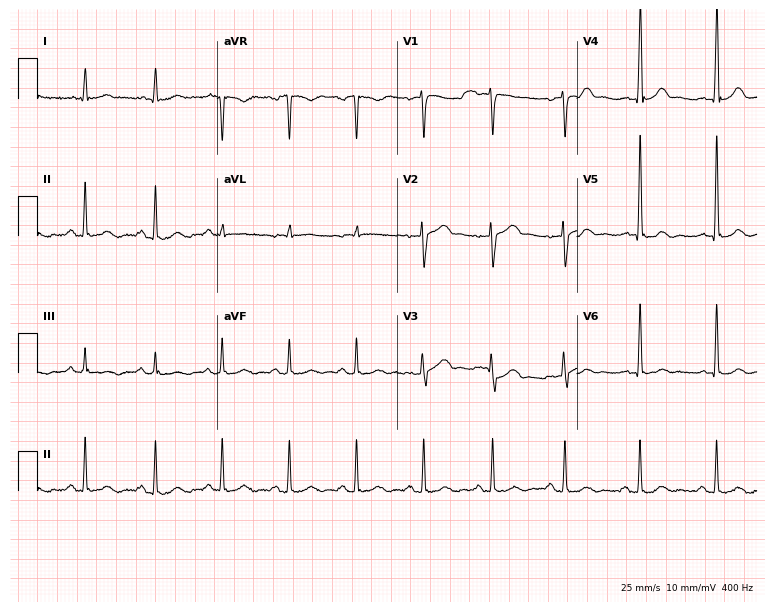
ECG (7.3-second recording at 400 Hz) — a man, 63 years old. Labelled as a normal ECG.